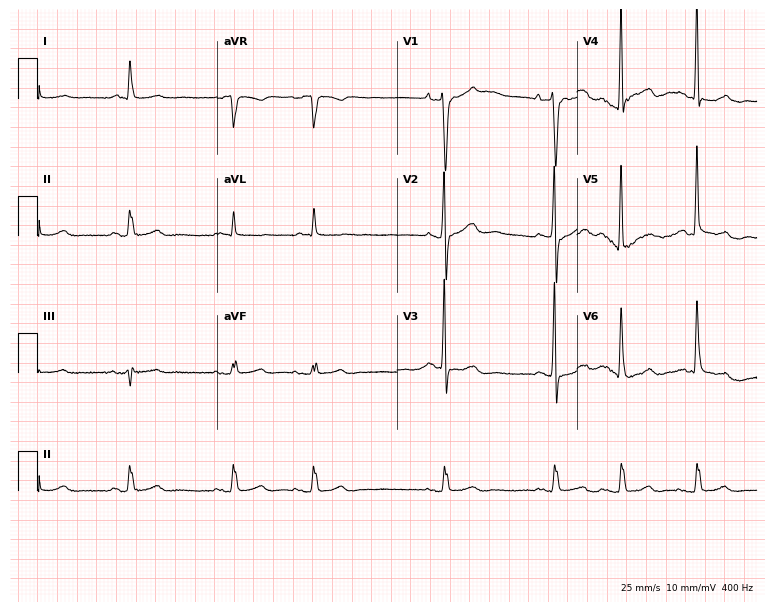
Electrocardiogram (7.3-second recording at 400 Hz), a 78-year-old male patient. Overall reading on record: normal ECG.